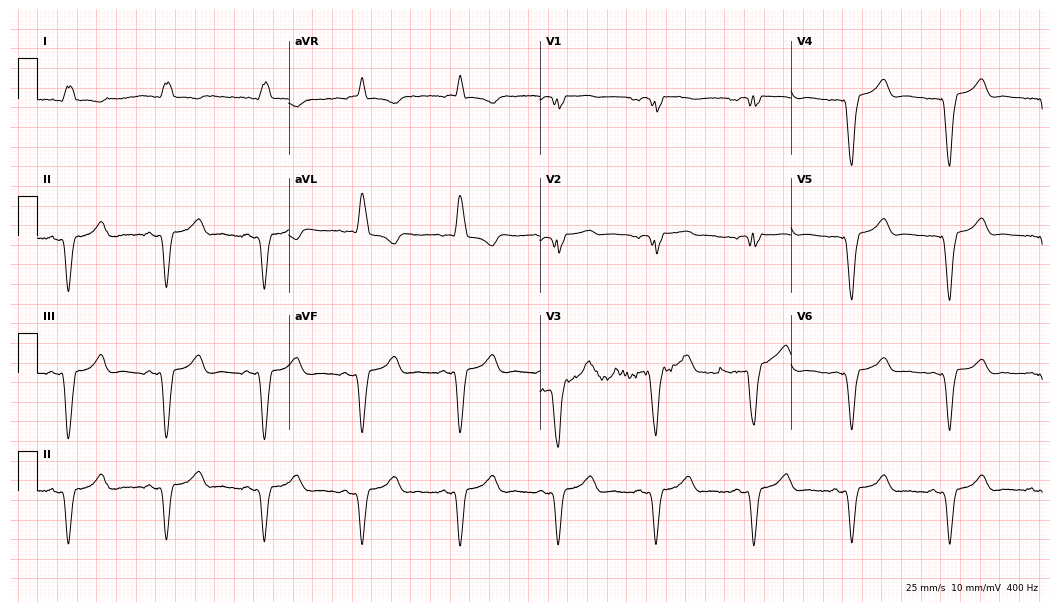
ECG (10.2-second recording at 400 Hz) — a female patient, 65 years old. Screened for six findings — first-degree AV block, right bundle branch block, left bundle branch block, sinus bradycardia, atrial fibrillation, sinus tachycardia — none is recorded.